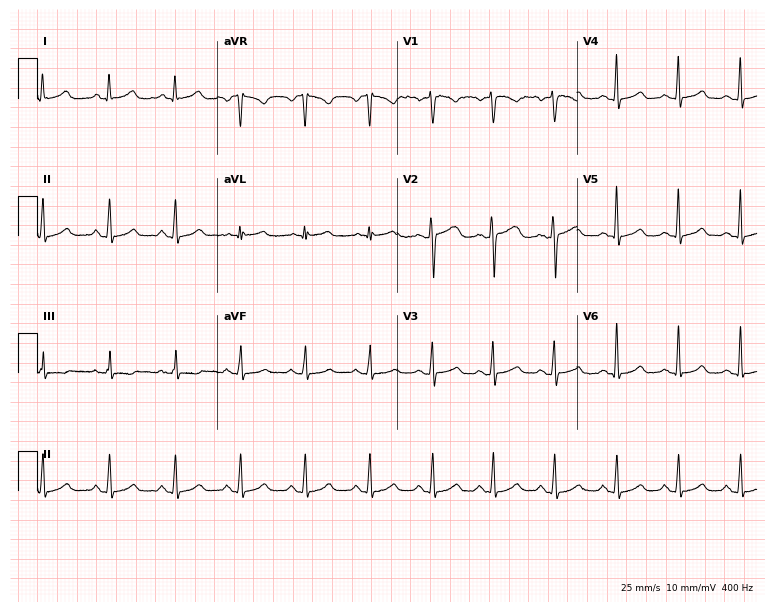
ECG — a woman, 34 years old. Labelled as a normal ECG.